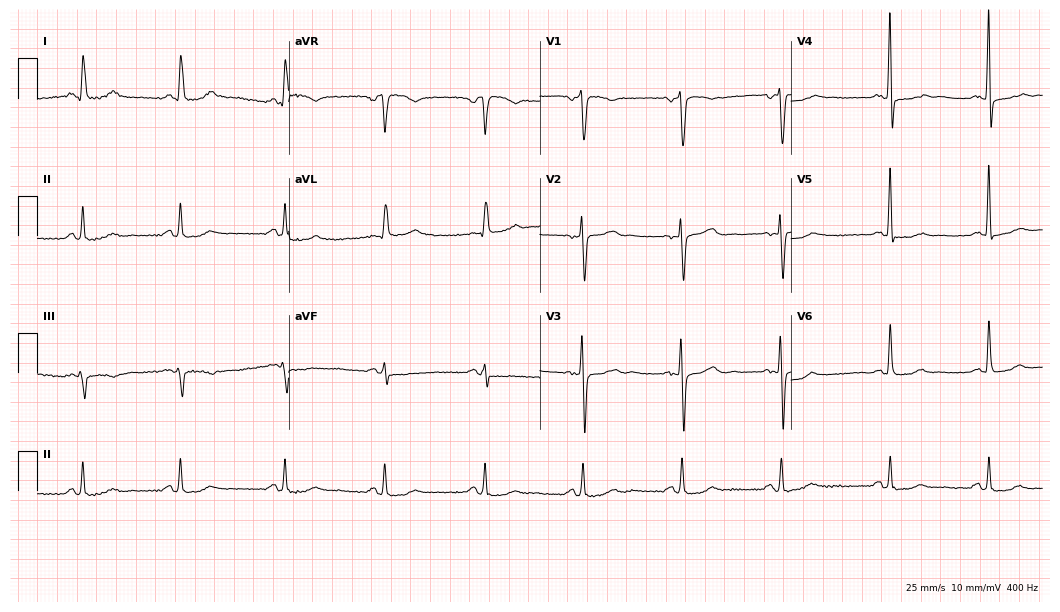
12-lead ECG from a woman, 53 years old. Recorded interpretation: within normal limits.